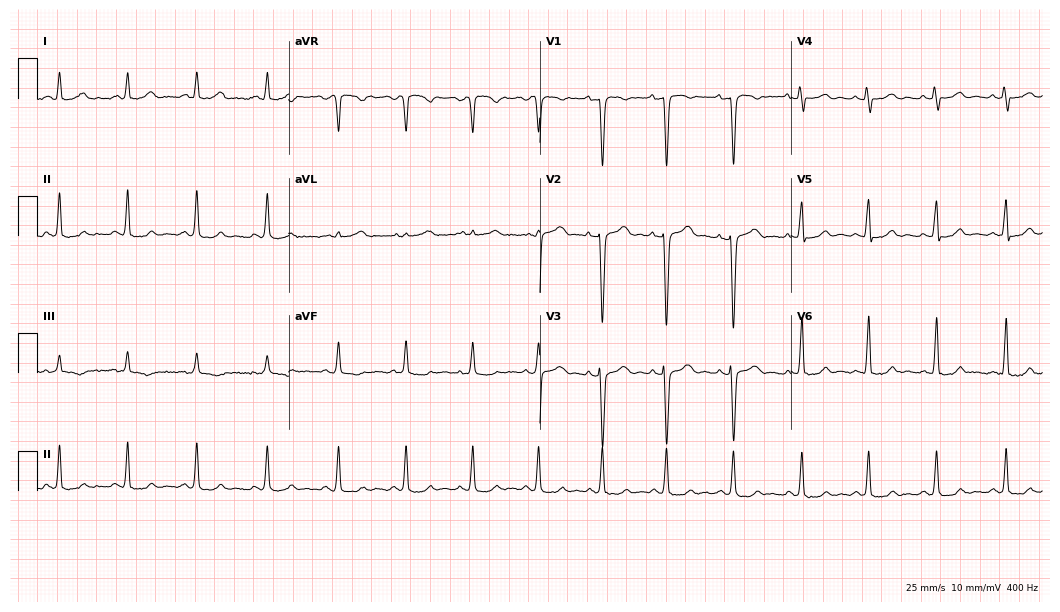
Resting 12-lead electrocardiogram (10.2-second recording at 400 Hz). Patient: a 25-year-old female. None of these six findings is recorded: first-degree AV block, right bundle branch block, left bundle branch block, sinus bradycardia, atrial fibrillation, sinus tachycardia. Findings outside these six are not listed.